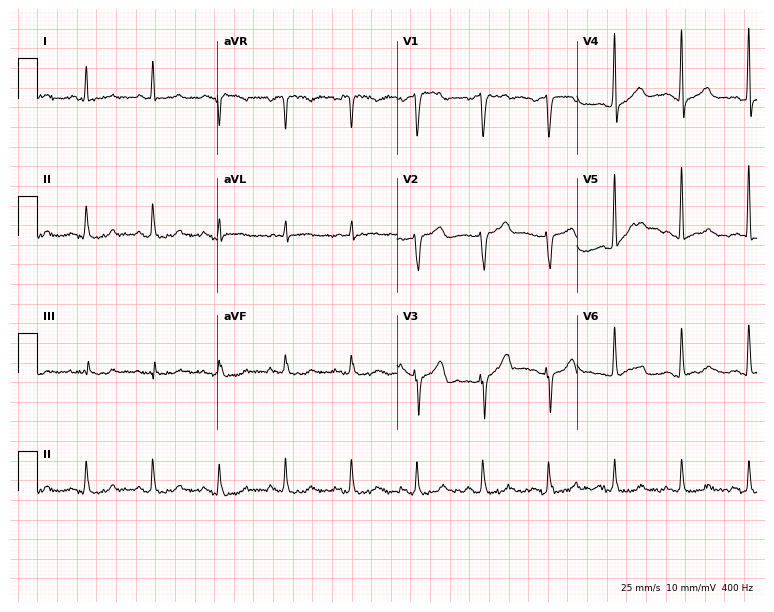
ECG (7.3-second recording at 400 Hz) — a 54-year-old male patient. Labelled as a normal ECG.